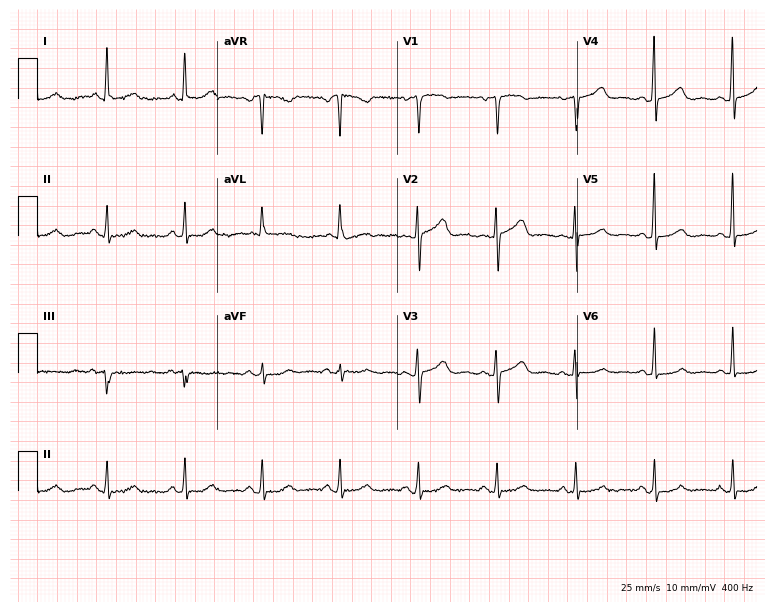
12-lead ECG (7.3-second recording at 400 Hz) from a female patient, 72 years old. Labelled as a normal ECG.